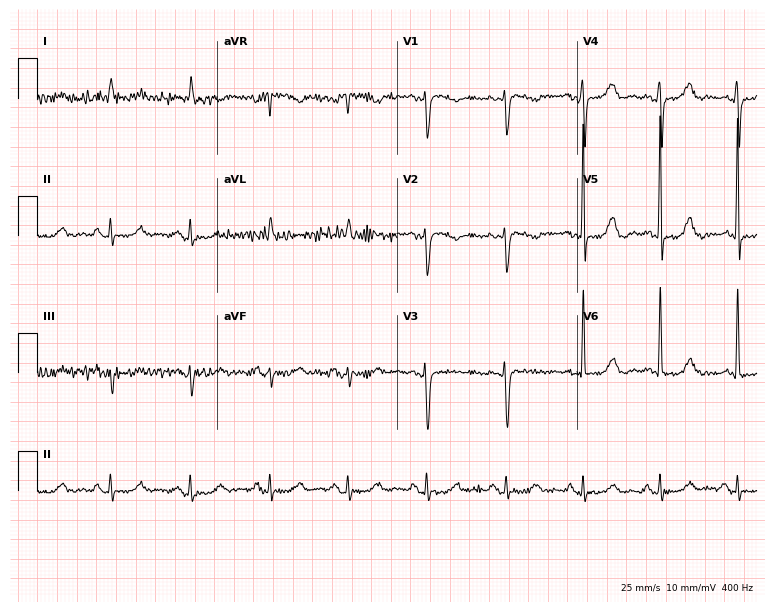
Standard 12-lead ECG recorded from an 80-year-old female (7.3-second recording at 400 Hz). None of these six findings is recorded: first-degree AV block, right bundle branch block, left bundle branch block, sinus bradycardia, atrial fibrillation, sinus tachycardia. Other findings, if any, are not listed.